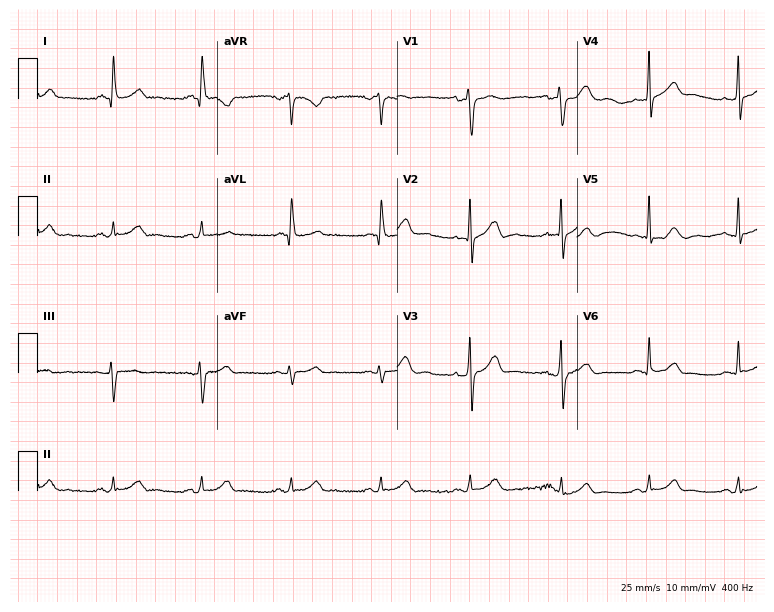
Electrocardiogram, a 55-year-old male. Overall reading on record: normal ECG.